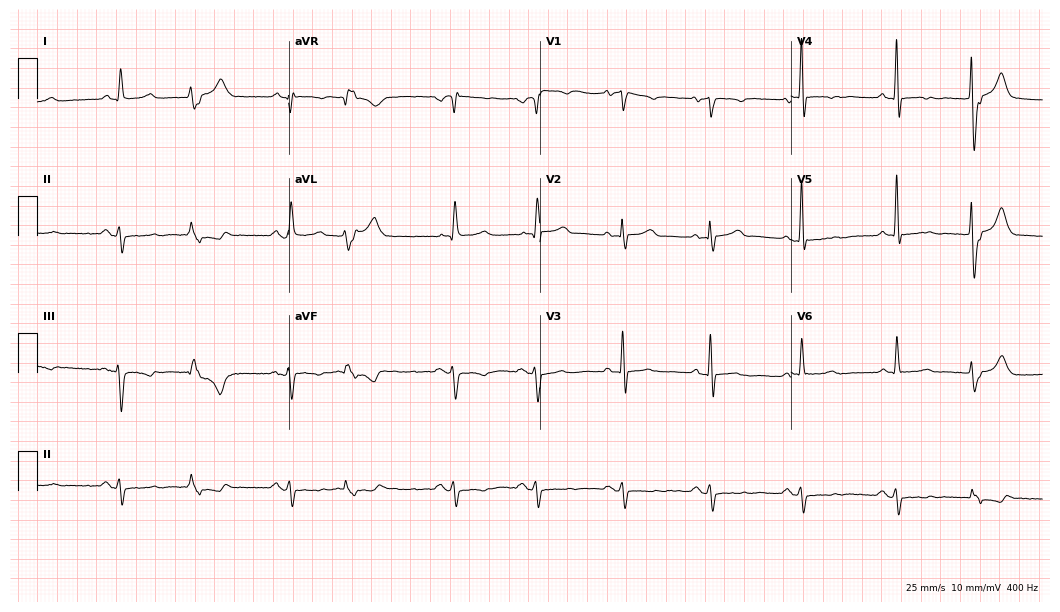
ECG — an 80-year-old male. Screened for six findings — first-degree AV block, right bundle branch block, left bundle branch block, sinus bradycardia, atrial fibrillation, sinus tachycardia — none is recorded. Other findings, if any, are not listed.